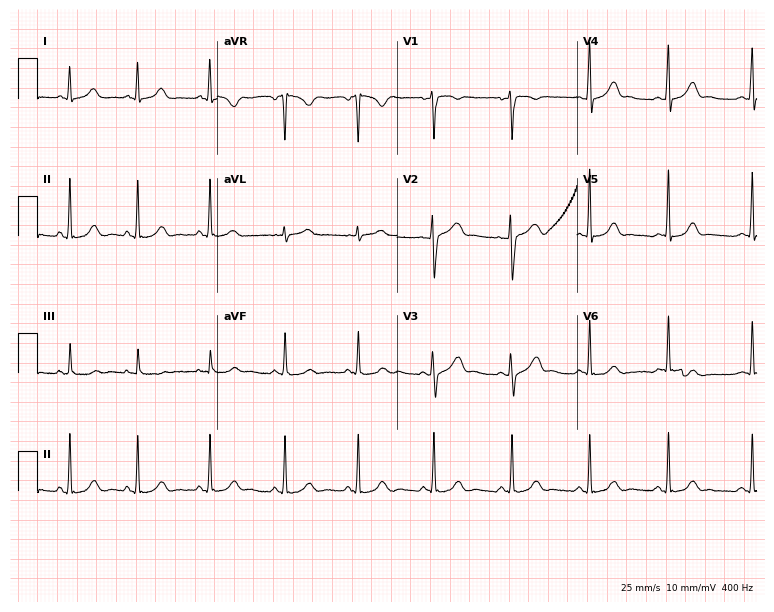
ECG — a woman, 30 years old. Labelled as a normal ECG.